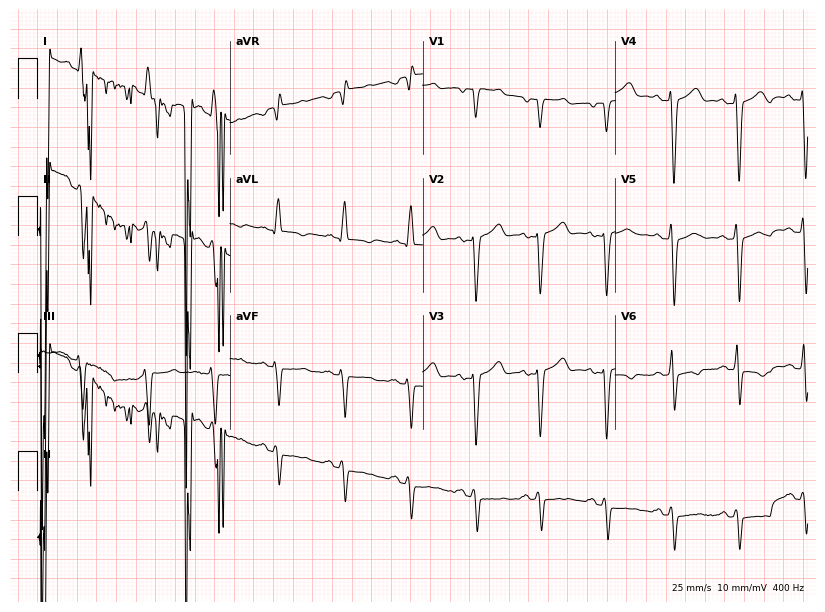
ECG — a 46-year-old woman. Screened for six findings — first-degree AV block, right bundle branch block, left bundle branch block, sinus bradycardia, atrial fibrillation, sinus tachycardia — none is recorded. Only these six findings were labelled.